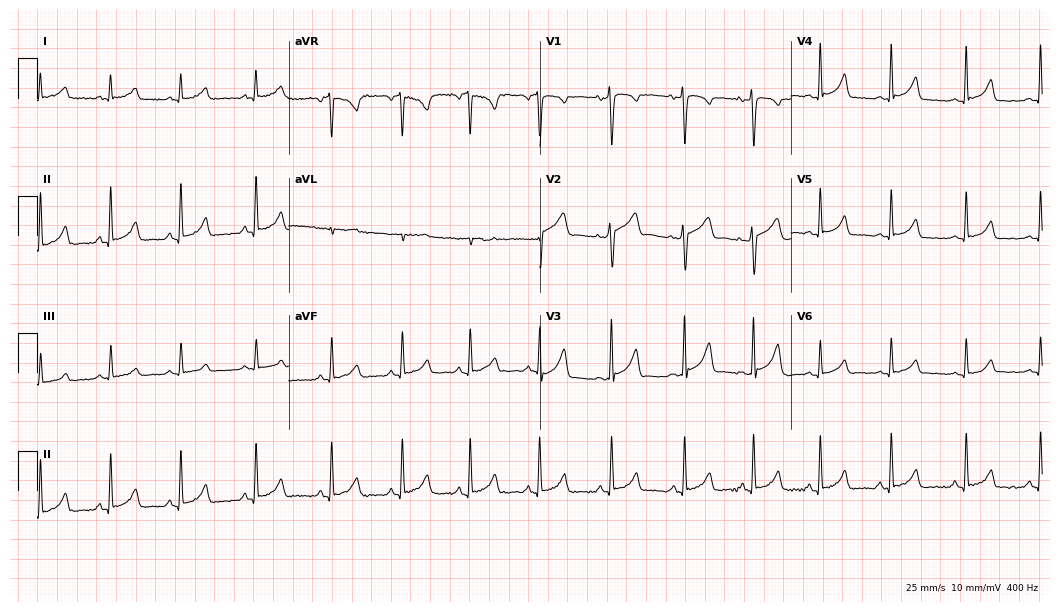
Electrocardiogram (10.2-second recording at 400 Hz), a 24-year-old female. Overall reading on record: normal ECG.